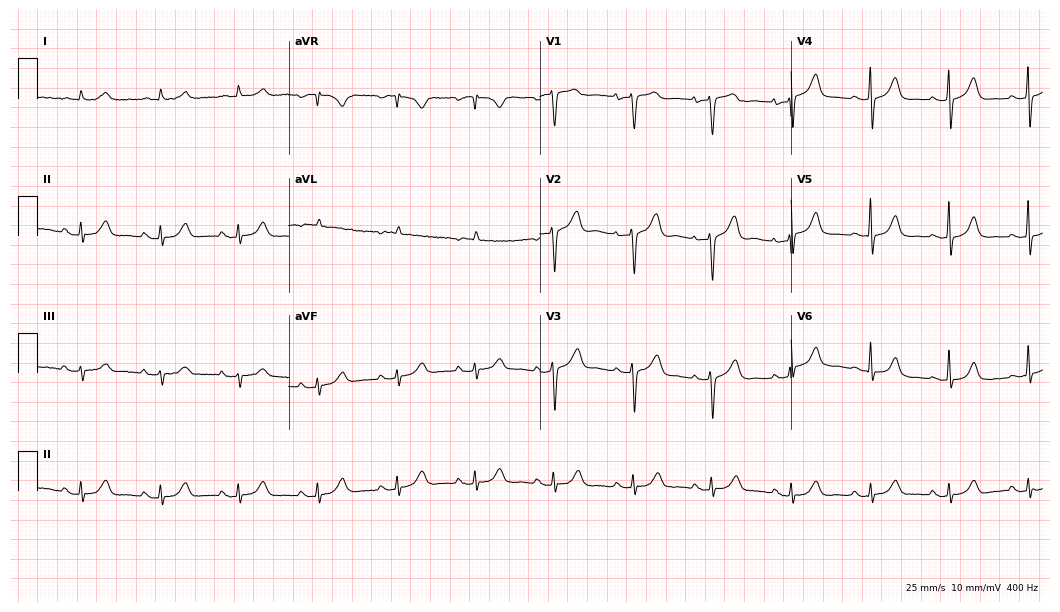
Resting 12-lead electrocardiogram. Patient: a female, 85 years old. Read as a normal ECG.